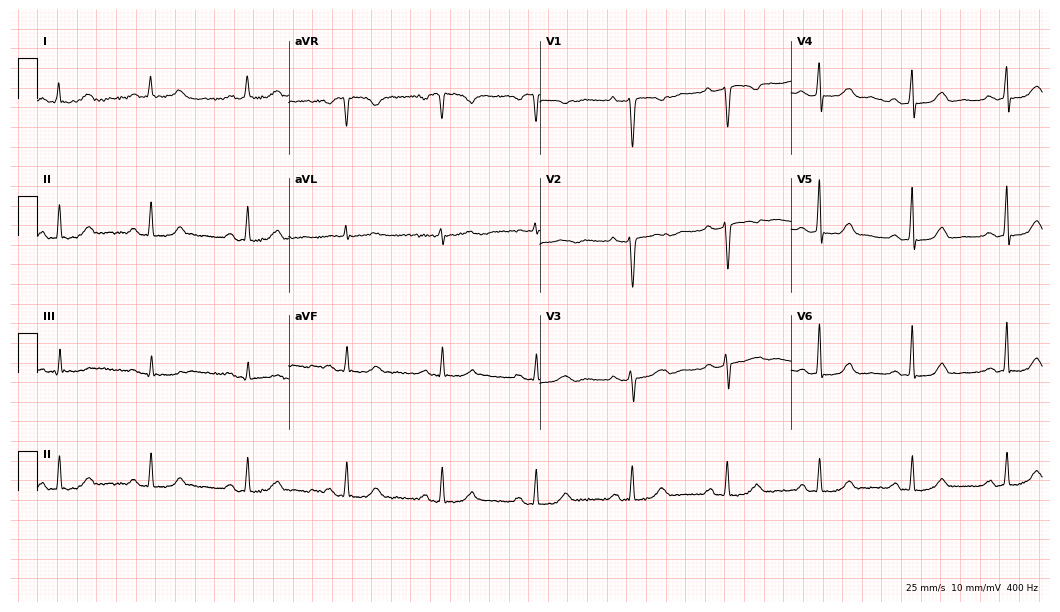
Electrocardiogram (10.2-second recording at 400 Hz), a female, 22 years old. Of the six screened findings (first-degree AV block, right bundle branch block, left bundle branch block, sinus bradycardia, atrial fibrillation, sinus tachycardia), none is recorded. Only these six findings were labelled.